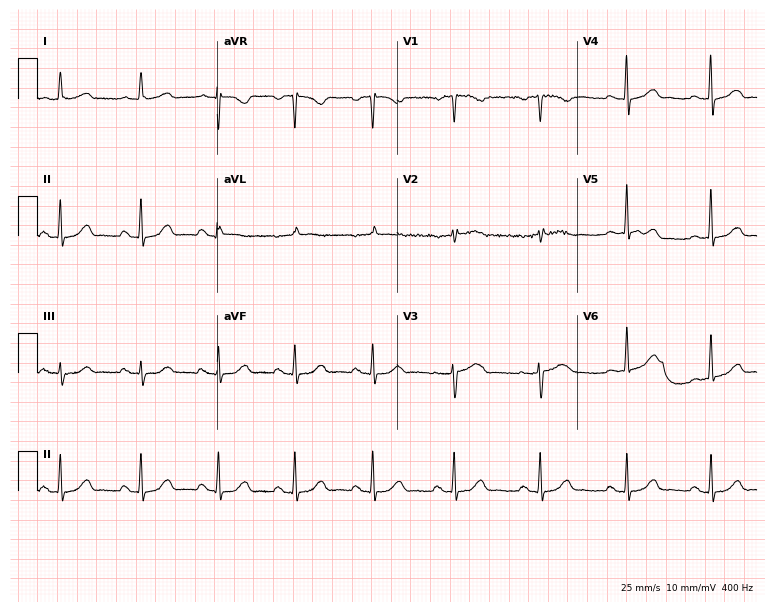
ECG — a 65-year-old female. Labelled as a normal ECG.